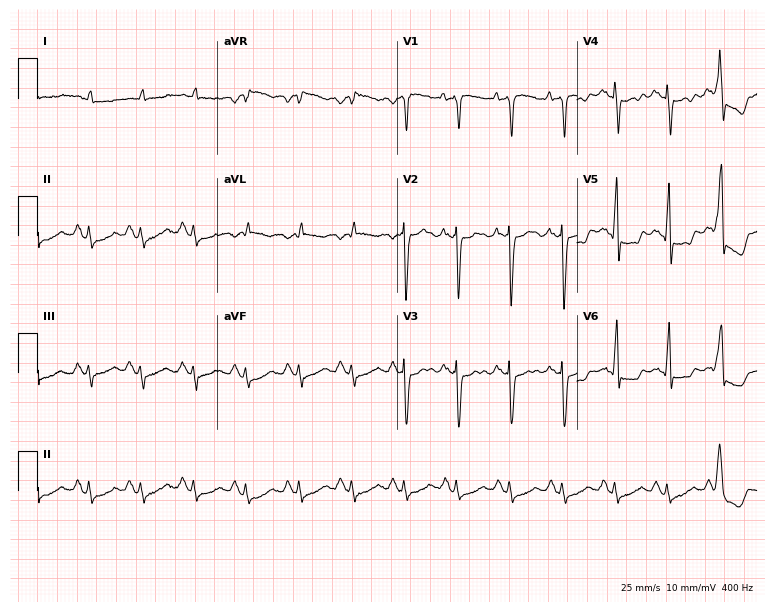
Resting 12-lead electrocardiogram. Patient: an 80-year-old woman. None of these six findings is recorded: first-degree AV block, right bundle branch block, left bundle branch block, sinus bradycardia, atrial fibrillation, sinus tachycardia. Only these six findings were labelled.